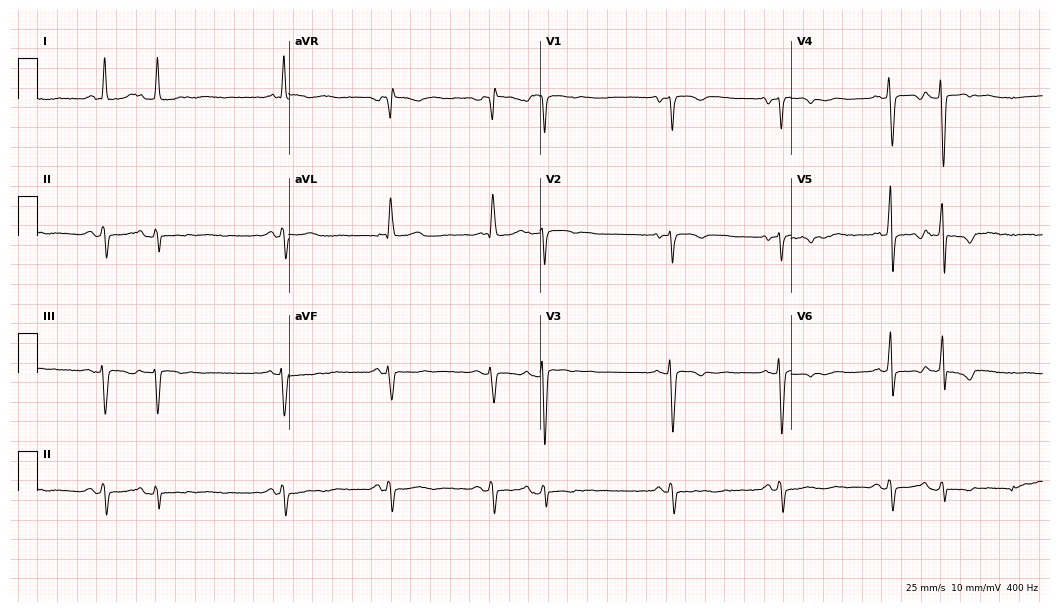
12-lead ECG from an 80-year-old woman. Screened for six findings — first-degree AV block, right bundle branch block, left bundle branch block, sinus bradycardia, atrial fibrillation, sinus tachycardia — none is recorded. Only these six findings were labelled.